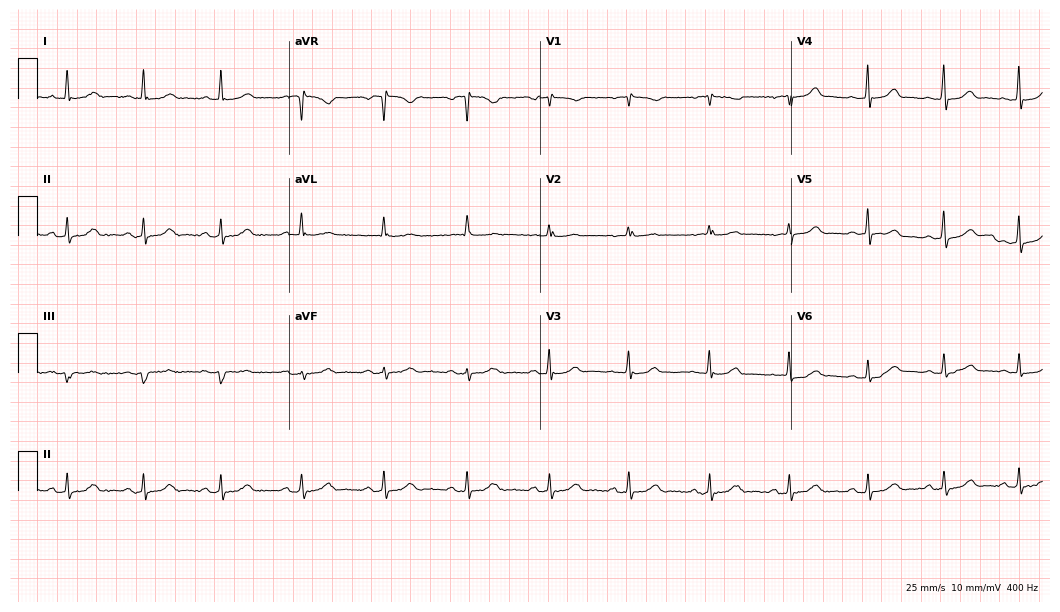
Standard 12-lead ECG recorded from a female, 65 years old. Read as a normal ECG.